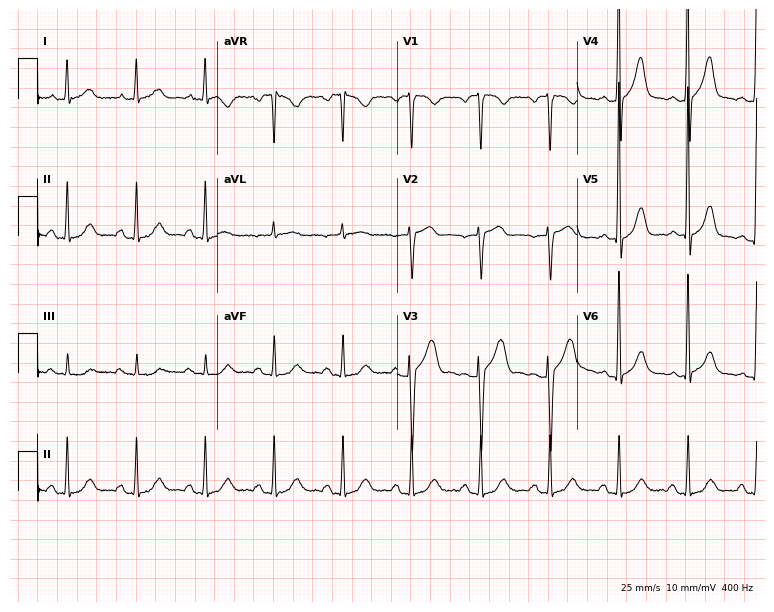
Electrocardiogram, a male, 72 years old. Of the six screened findings (first-degree AV block, right bundle branch block (RBBB), left bundle branch block (LBBB), sinus bradycardia, atrial fibrillation (AF), sinus tachycardia), none is recorded.